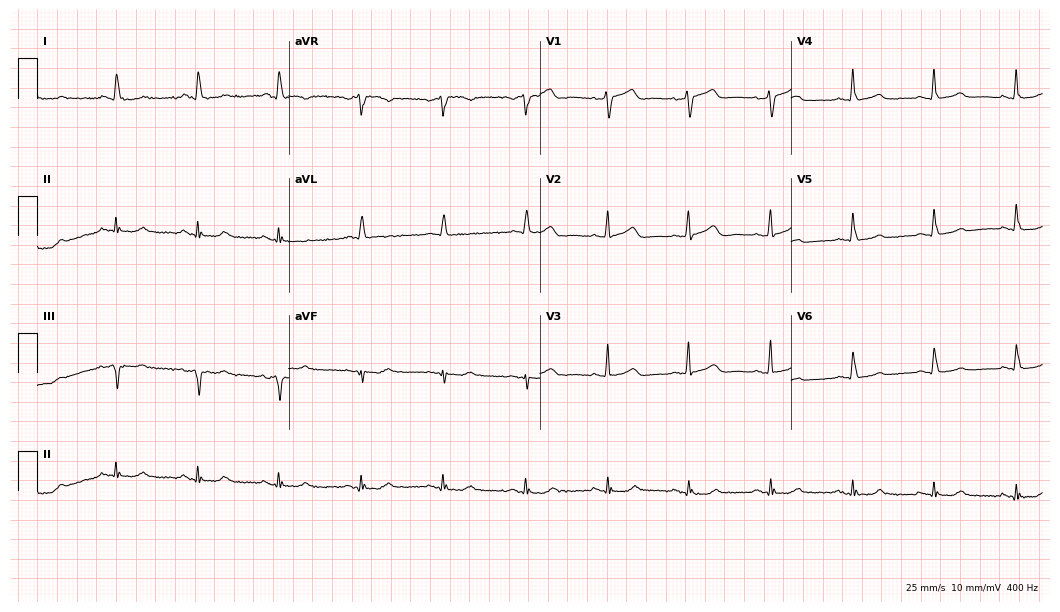
Electrocardiogram (10.2-second recording at 400 Hz), a female patient, 75 years old. Overall reading on record: normal ECG.